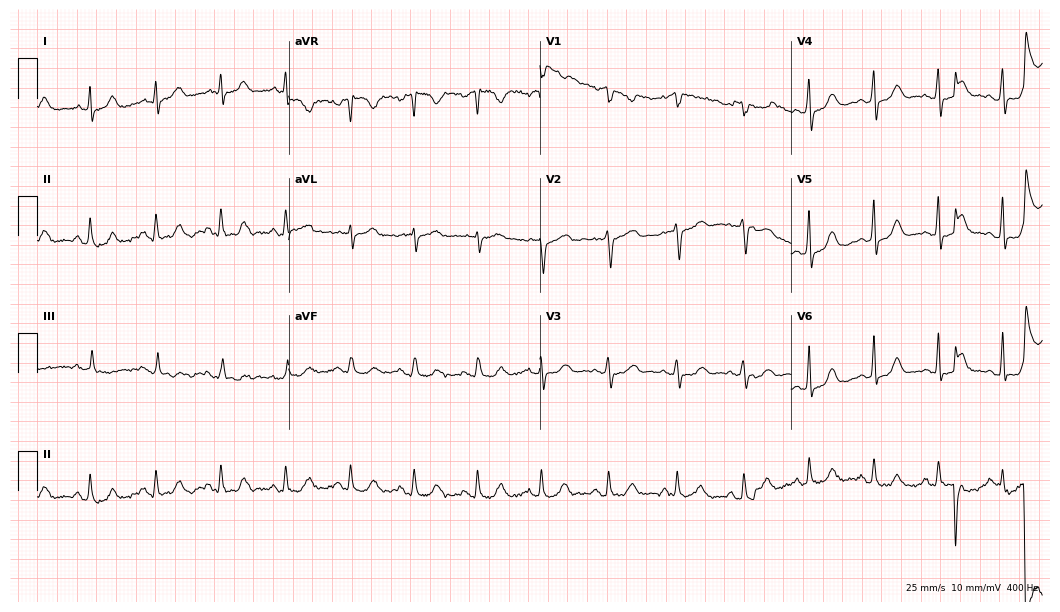
12-lead ECG from a woman, 50 years old (10.2-second recording at 400 Hz). Recorded interpretation: within normal limits.